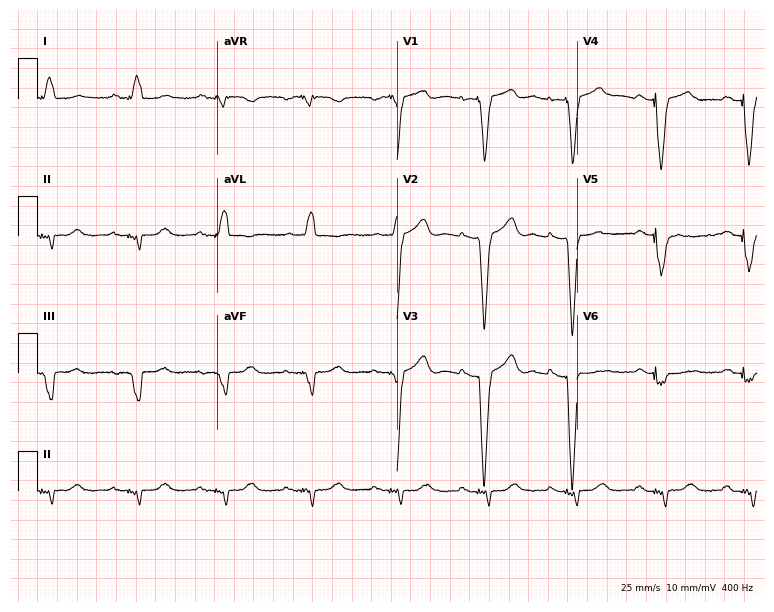
12-lead ECG from a 62-year-old female patient. No first-degree AV block, right bundle branch block (RBBB), left bundle branch block (LBBB), sinus bradycardia, atrial fibrillation (AF) or sinus tachycardia recorded for this tracing.